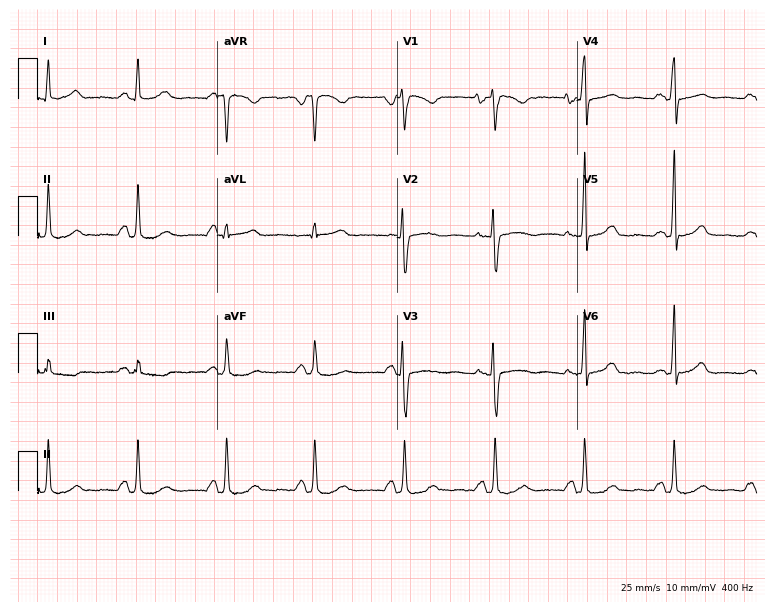
12-lead ECG from a female, 53 years old. No first-degree AV block, right bundle branch block, left bundle branch block, sinus bradycardia, atrial fibrillation or sinus tachycardia recorded for this tracing. Findings outside these six are not listed.